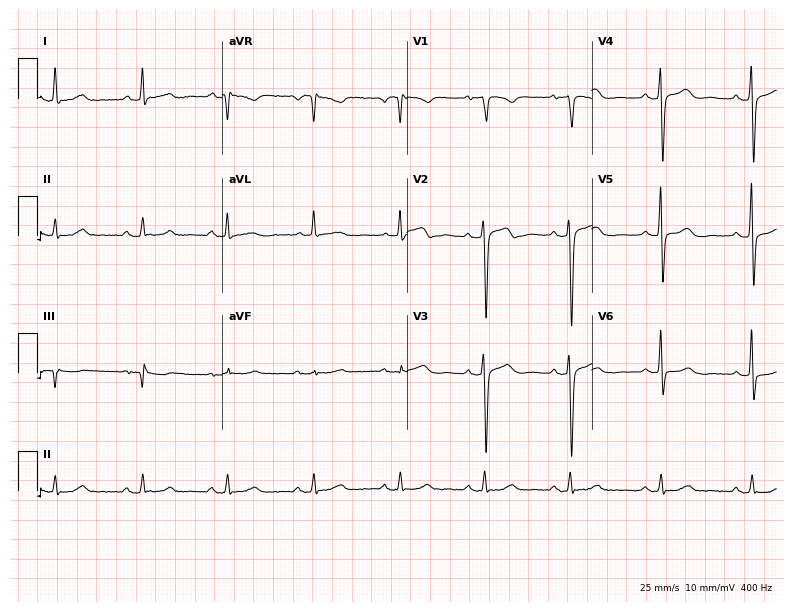
Standard 12-lead ECG recorded from a female, 76 years old (7.5-second recording at 400 Hz). Read as a normal ECG.